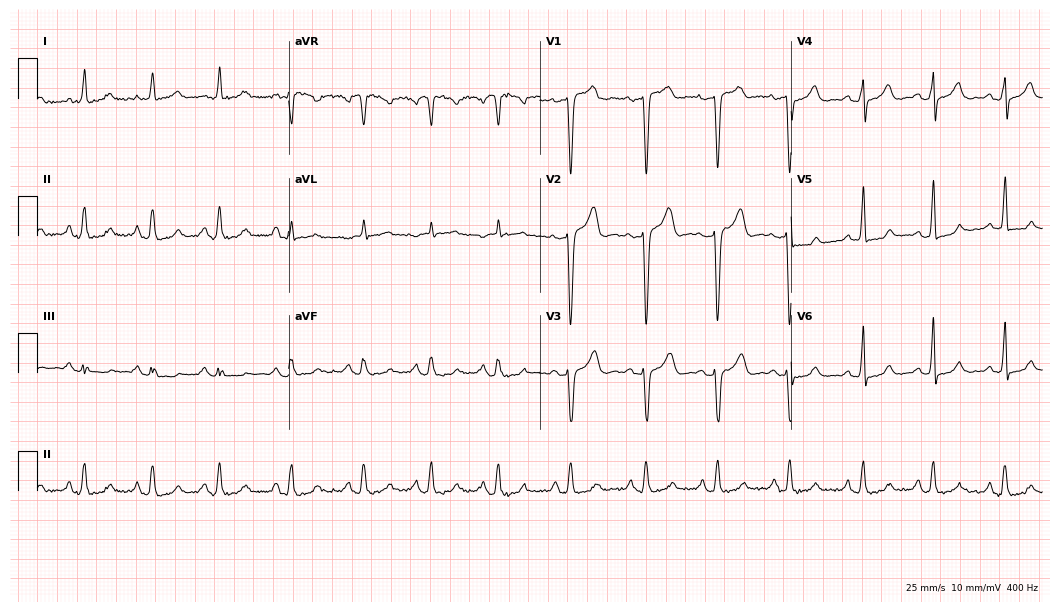
Standard 12-lead ECG recorded from a woman, 40 years old (10.2-second recording at 400 Hz). Read as a normal ECG.